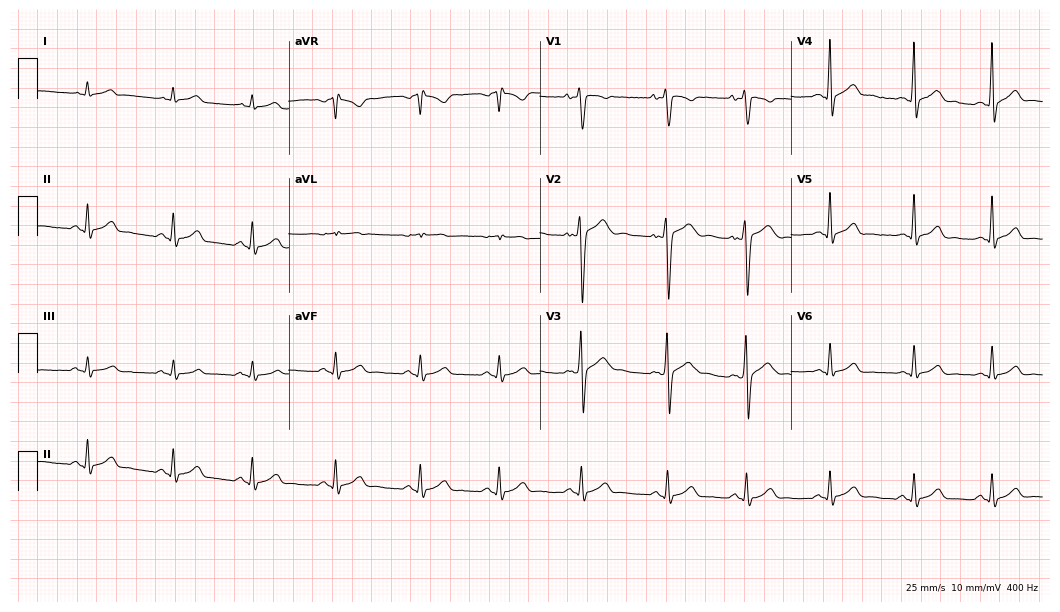
Resting 12-lead electrocardiogram (10.2-second recording at 400 Hz). Patient: a male, 17 years old. Read as a normal ECG.